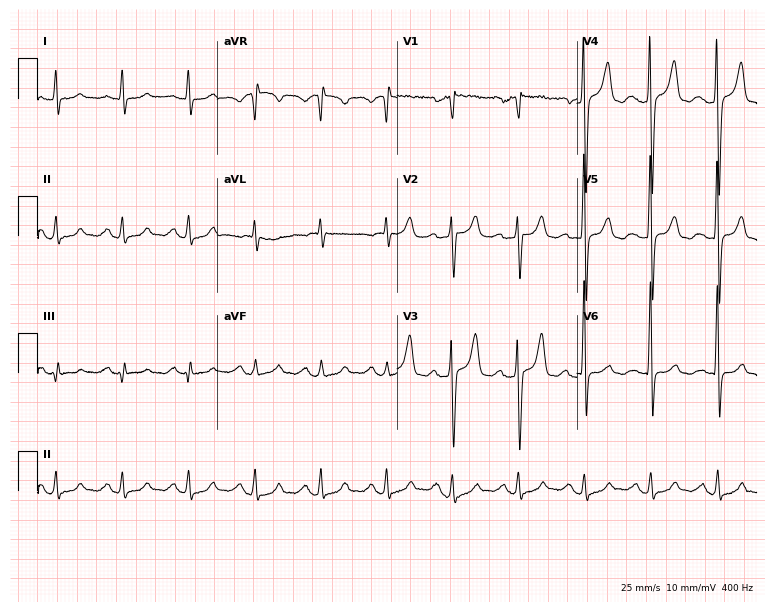
12-lead ECG from a 63-year-old man (7.3-second recording at 400 Hz). No first-degree AV block, right bundle branch block, left bundle branch block, sinus bradycardia, atrial fibrillation or sinus tachycardia recorded for this tracing.